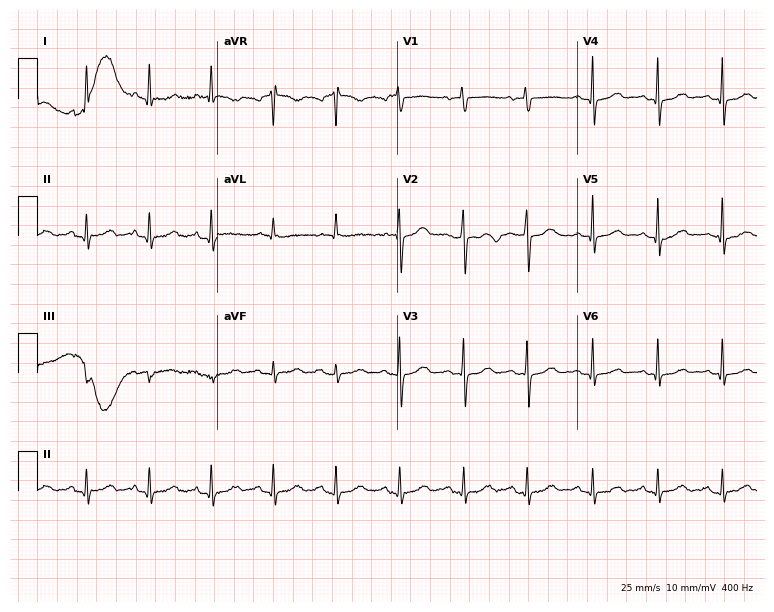
Resting 12-lead electrocardiogram. Patient: a 72-year-old female. Read as a normal ECG.